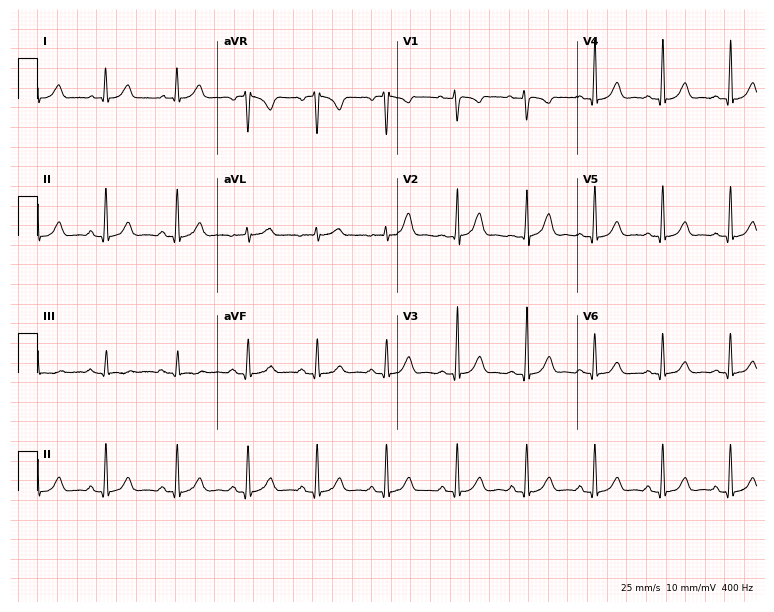
ECG (7.3-second recording at 400 Hz) — a woman, 32 years old. Labelled as a normal ECG.